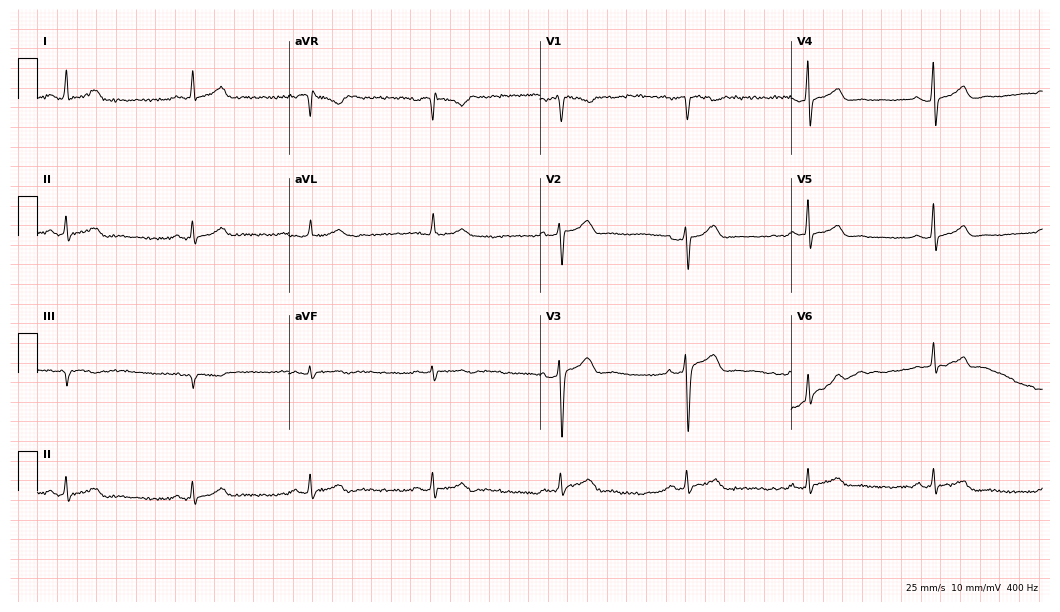
Electrocardiogram (10.2-second recording at 400 Hz), a male patient, 48 years old. Interpretation includes sinus bradycardia (a sinus rate of 50 beats per minute or less).